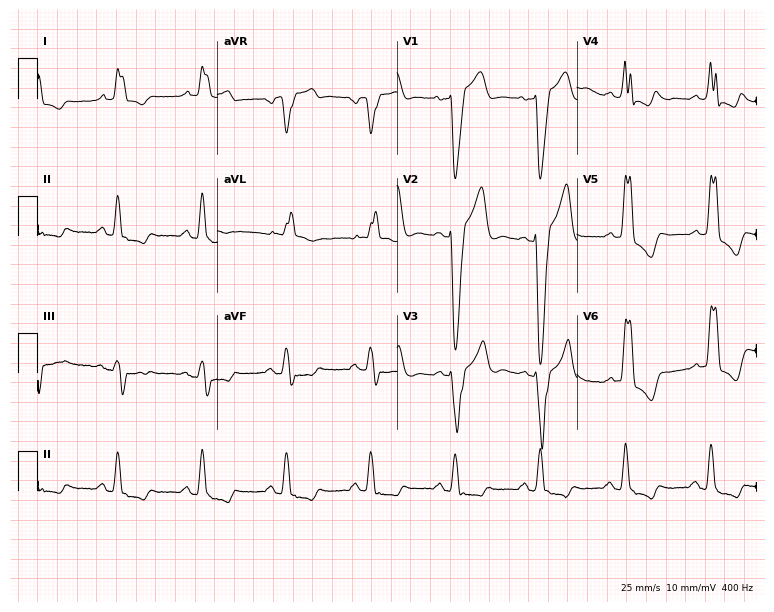
Electrocardiogram (7.3-second recording at 400 Hz), a male patient, 60 years old. Interpretation includes left bundle branch block (LBBB).